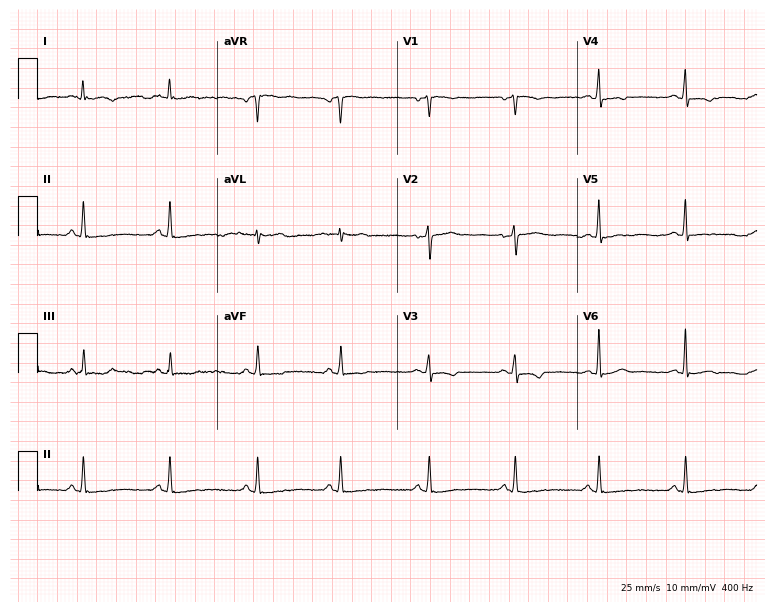
Standard 12-lead ECG recorded from a female patient, 36 years old. None of these six findings is recorded: first-degree AV block, right bundle branch block (RBBB), left bundle branch block (LBBB), sinus bradycardia, atrial fibrillation (AF), sinus tachycardia. Other findings, if any, are not listed.